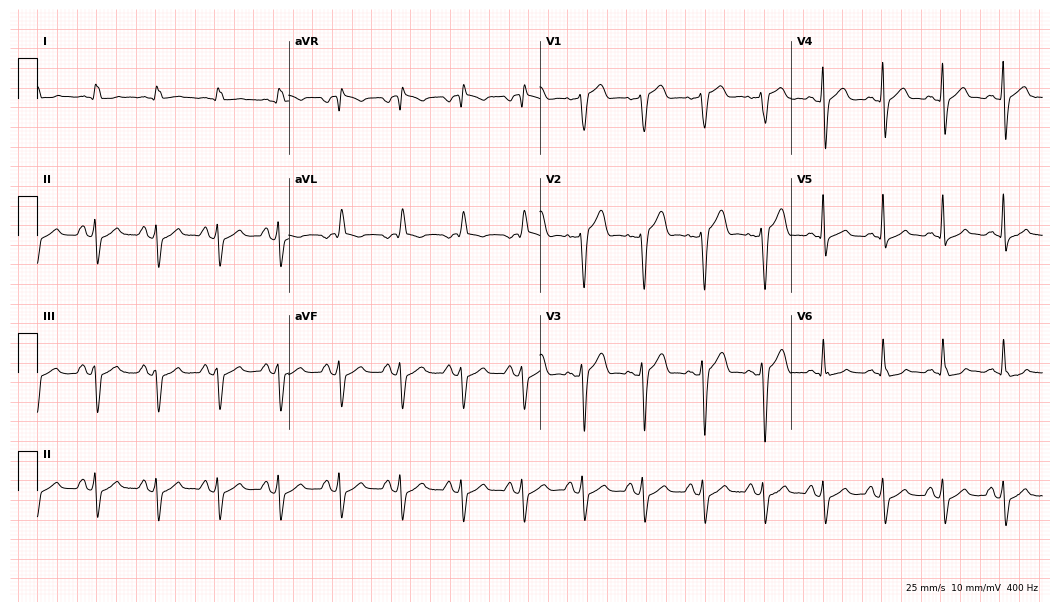
ECG — a 64-year-old male. Screened for six findings — first-degree AV block, right bundle branch block, left bundle branch block, sinus bradycardia, atrial fibrillation, sinus tachycardia — none is recorded. Other findings, if any, are not listed.